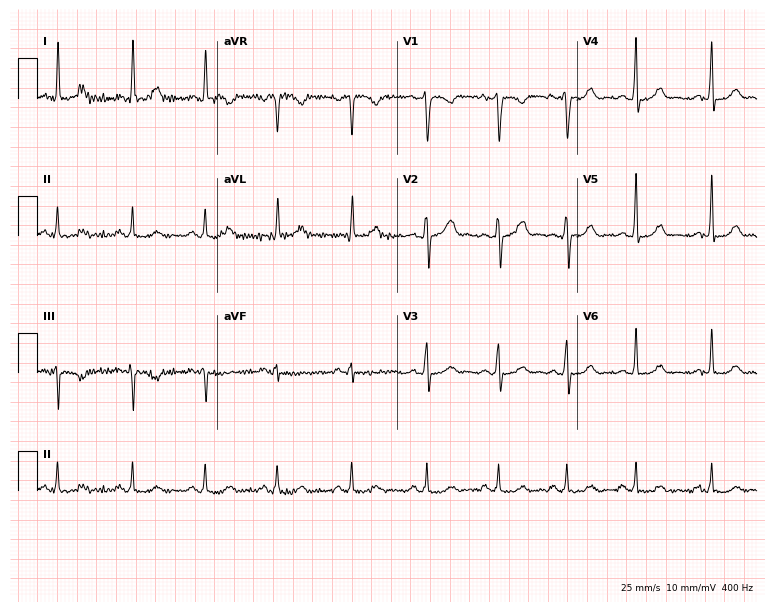
Electrocardiogram, a 37-year-old woman. Overall reading on record: normal ECG.